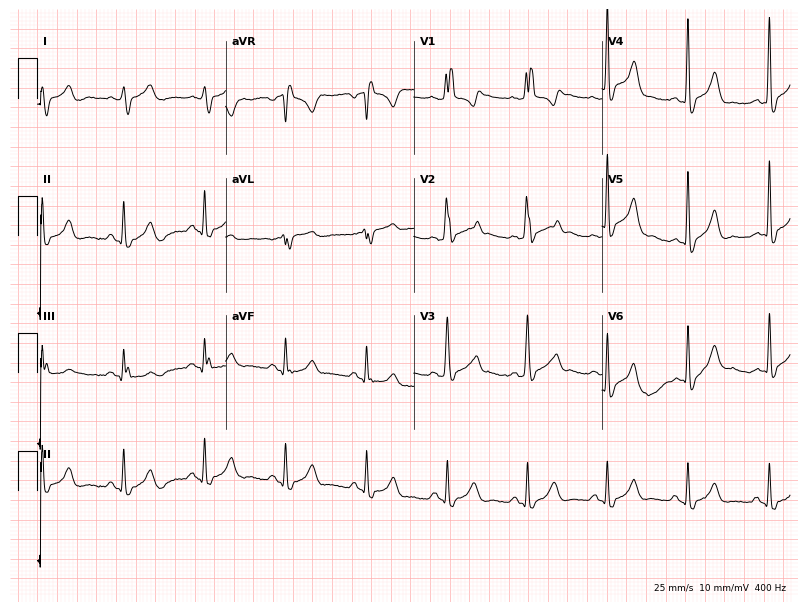
12-lead ECG from a 43-year-old man. Shows right bundle branch block.